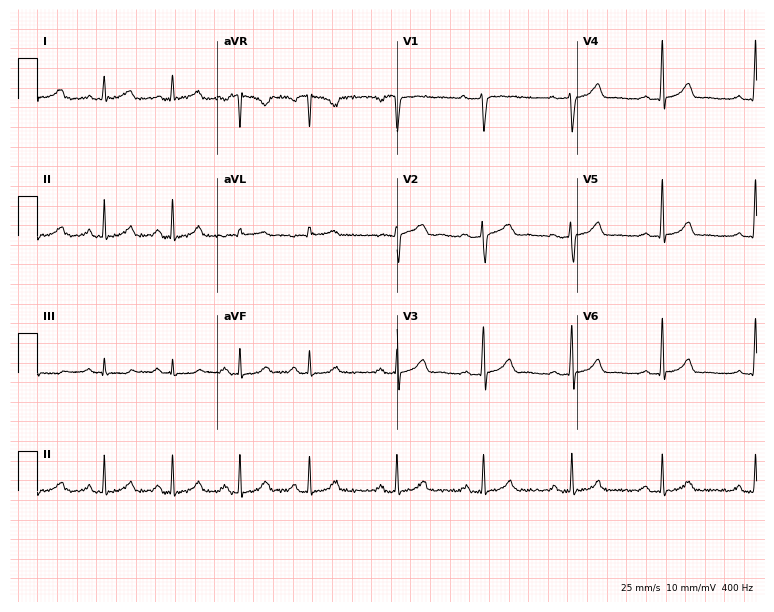
12-lead ECG (7.3-second recording at 400 Hz) from a 36-year-old woman. Screened for six findings — first-degree AV block, right bundle branch block, left bundle branch block, sinus bradycardia, atrial fibrillation, sinus tachycardia — none is recorded. Only these six findings were labelled.